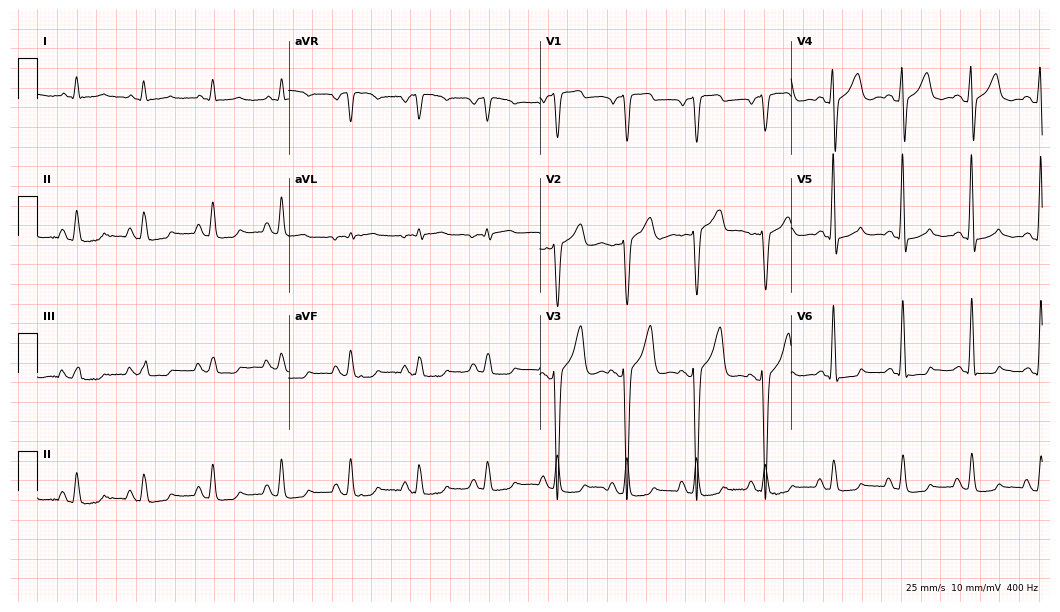
Resting 12-lead electrocardiogram (10.2-second recording at 400 Hz). Patient: a man, 62 years old. None of these six findings is recorded: first-degree AV block, right bundle branch block, left bundle branch block, sinus bradycardia, atrial fibrillation, sinus tachycardia. Findings outside these six are not listed.